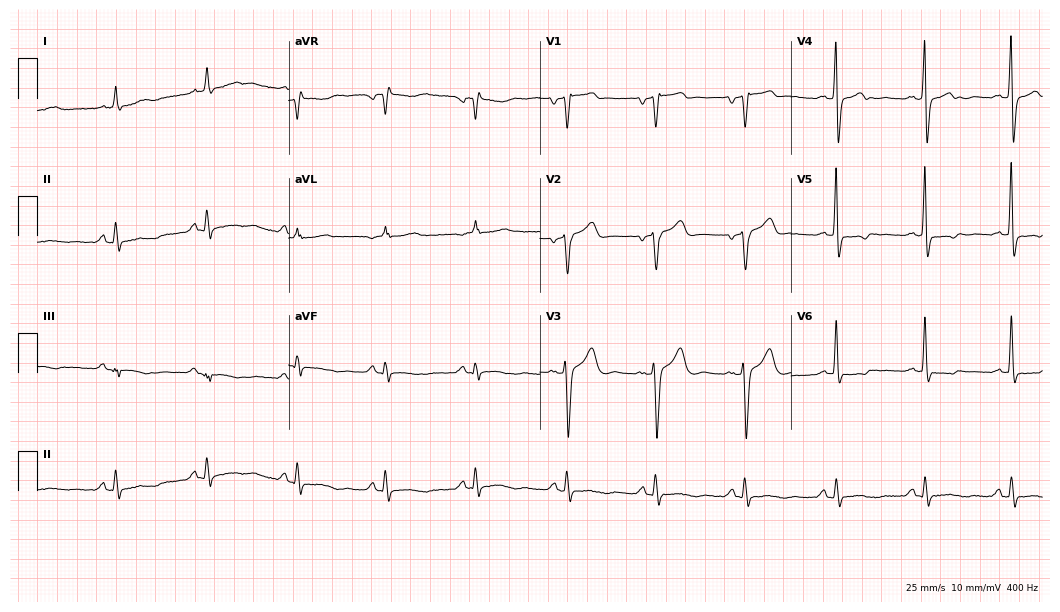
Electrocardiogram (10.2-second recording at 400 Hz), a 67-year-old man. Of the six screened findings (first-degree AV block, right bundle branch block, left bundle branch block, sinus bradycardia, atrial fibrillation, sinus tachycardia), none is recorded. Only these six findings were labelled.